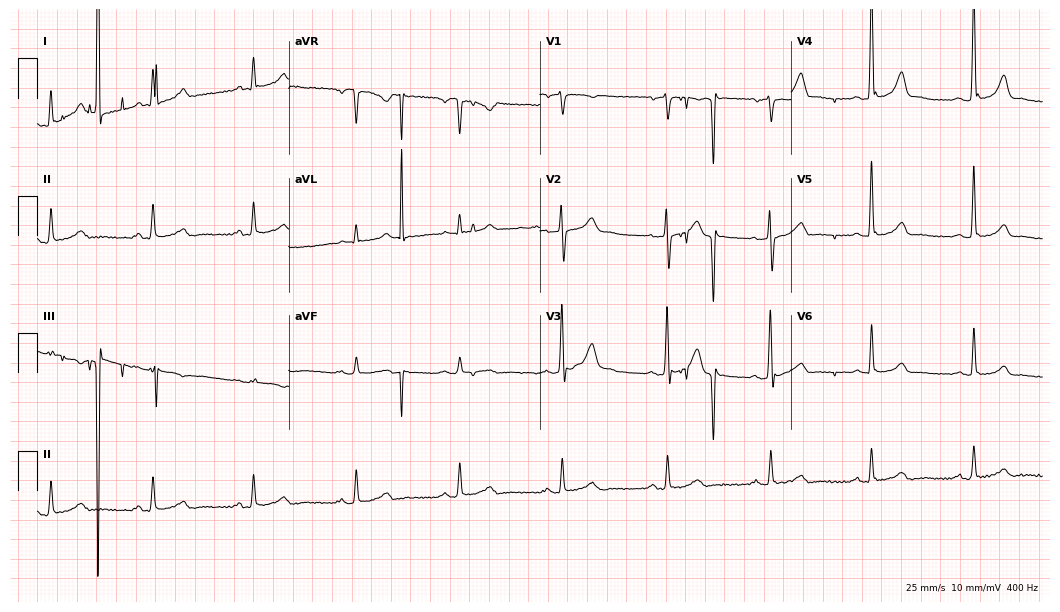
Electrocardiogram, a male patient, 61 years old. Of the six screened findings (first-degree AV block, right bundle branch block, left bundle branch block, sinus bradycardia, atrial fibrillation, sinus tachycardia), none is recorded. Only these six findings were labelled.